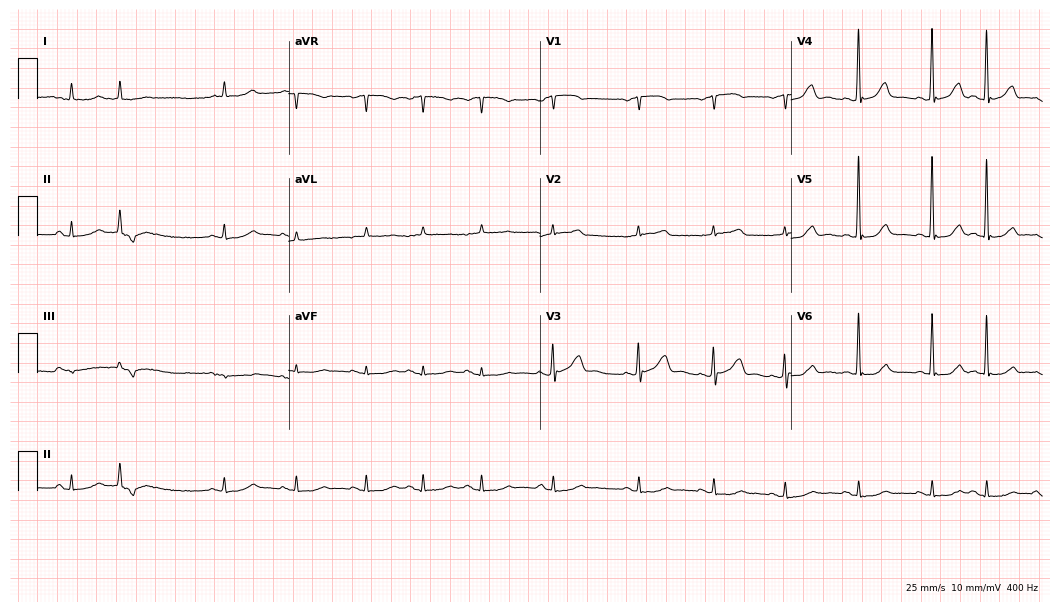
12-lead ECG from an 85-year-old female. Screened for six findings — first-degree AV block, right bundle branch block, left bundle branch block, sinus bradycardia, atrial fibrillation, sinus tachycardia — none is recorded.